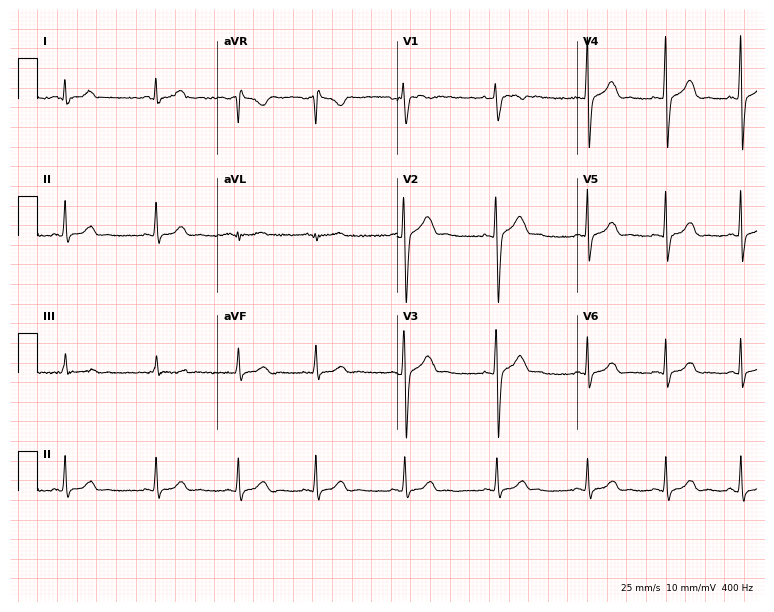
Resting 12-lead electrocardiogram (7.3-second recording at 400 Hz). Patient: a woman, 29 years old. Read as a normal ECG.